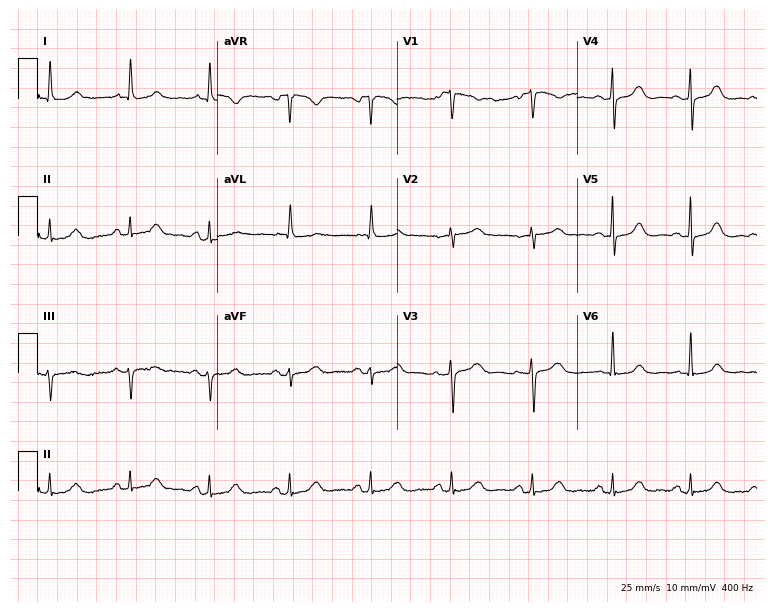
ECG (7.3-second recording at 400 Hz) — a 64-year-old woman. Screened for six findings — first-degree AV block, right bundle branch block, left bundle branch block, sinus bradycardia, atrial fibrillation, sinus tachycardia — none is recorded.